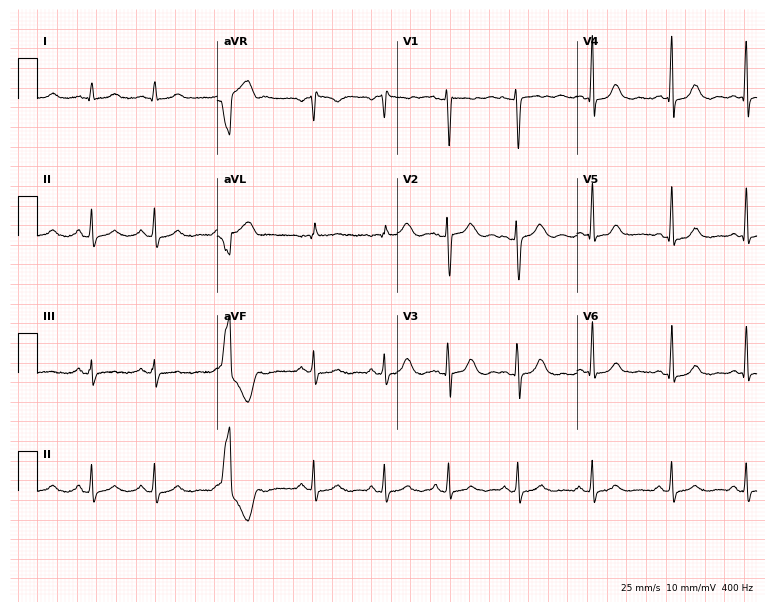
12-lead ECG from a woman, 34 years old. No first-degree AV block, right bundle branch block, left bundle branch block, sinus bradycardia, atrial fibrillation or sinus tachycardia recorded for this tracing. Findings outside these six are not listed.